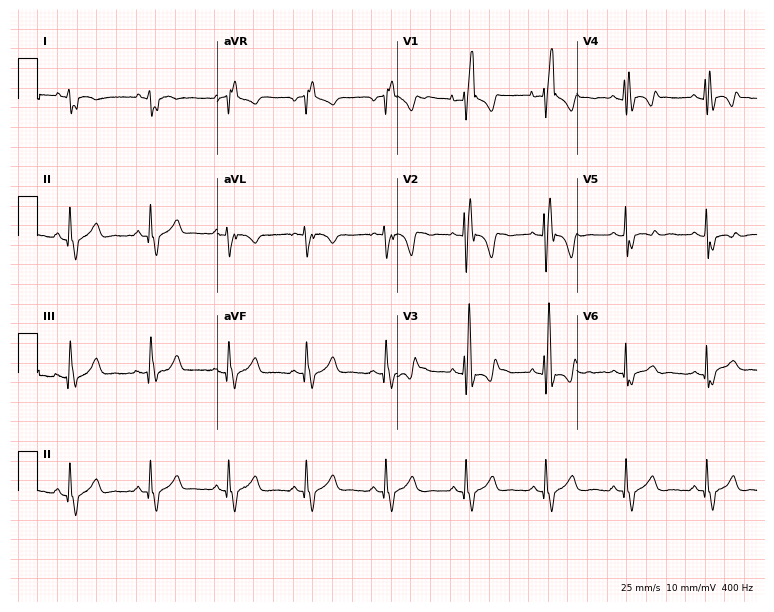
Electrocardiogram (7.3-second recording at 400 Hz), a 31-year-old male. Interpretation includes right bundle branch block.